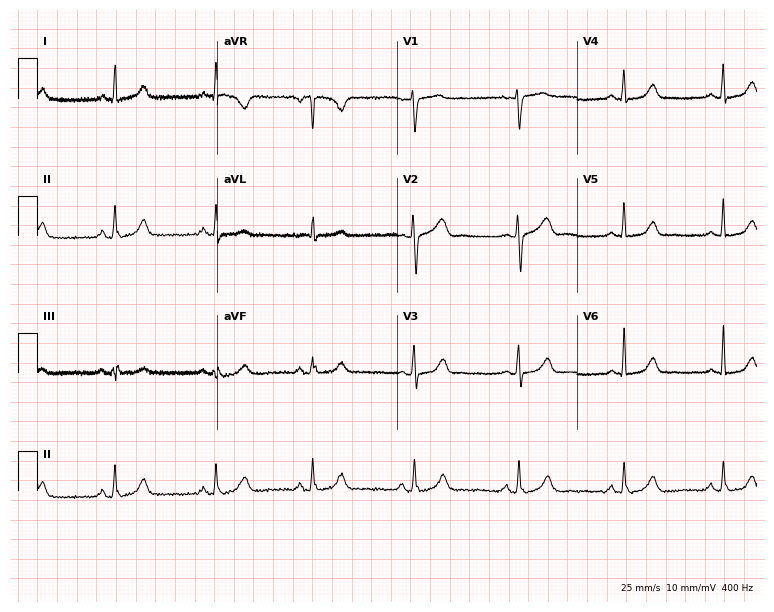
Electrocardiogram, a 42-year-old woman. Overall reading on record: normal ECG.